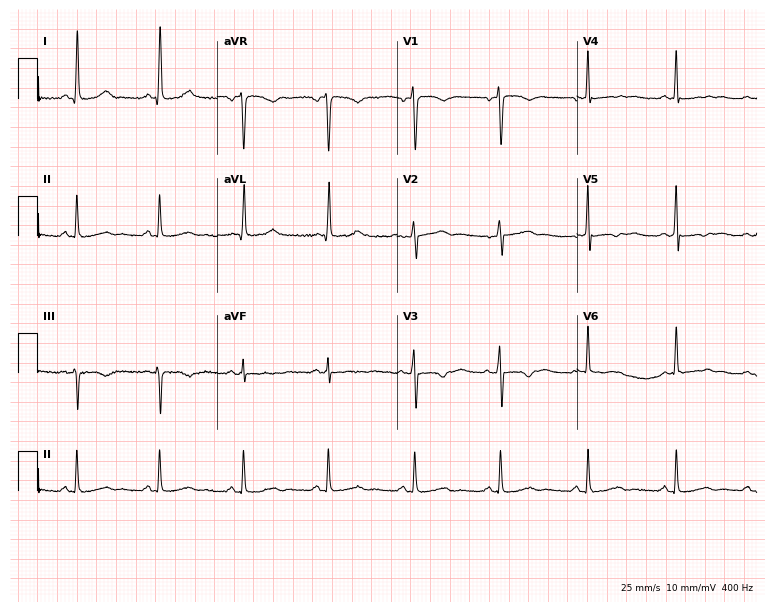
12-lead ECG from a woman, 42 years old. No first-degree AV block, right bundle branch block, left bundle branch block, sinus bradycardia, atrial fibrillation or sinus tachycardia recorded for this tracing.